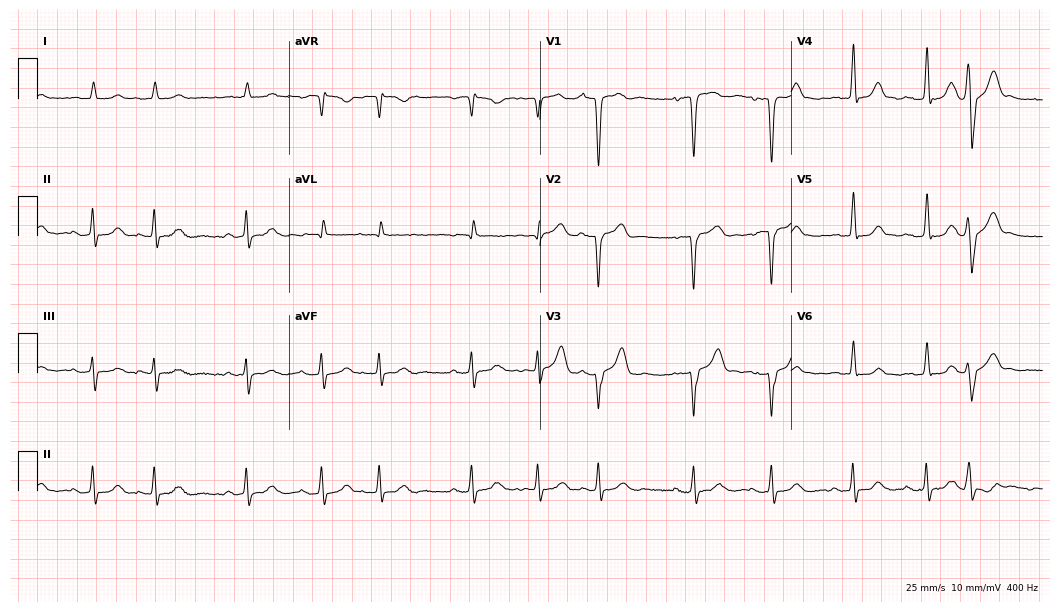
Electrocardiogram, an 80-year-old man. Of the six screened findings (first-degree AV block, right bundle branch block, left bundle branch block, sinus bradycardia, atrial fibrillation, sinus tachycardia), none is recorded. Other findings, if any, are not listed.